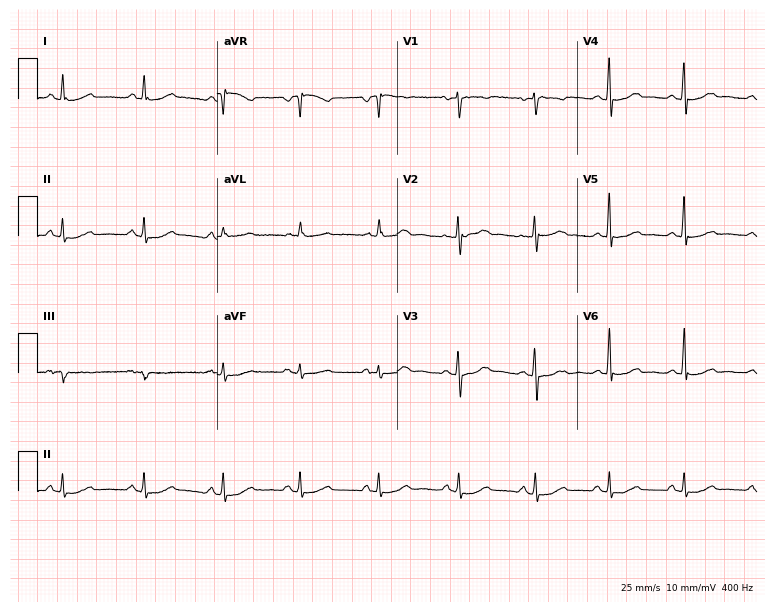
Standard 12-lead ECG recorded from a female patient, 40 years old (7.3-second recording at 400 Hz). Read as a normal ECG.